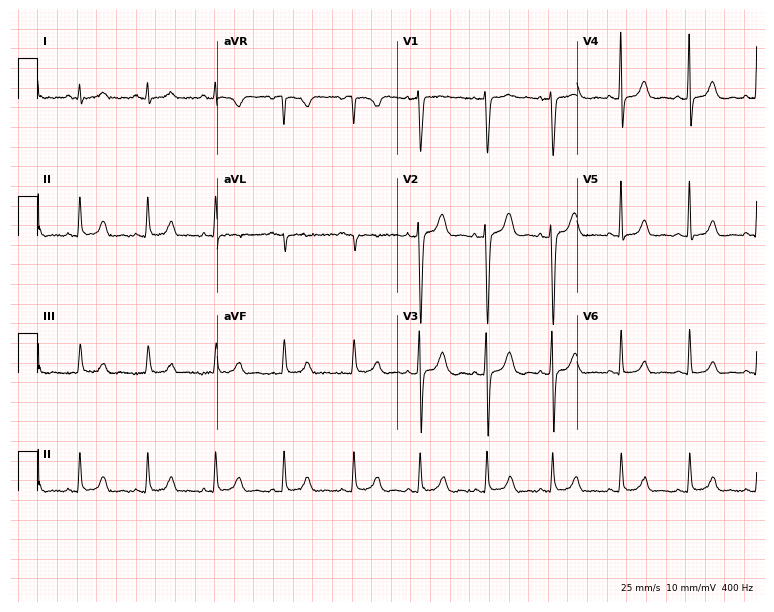
Resting 12-lead electrocardiogram. Patient: a female, 36 years old. Read as a normal ECG.